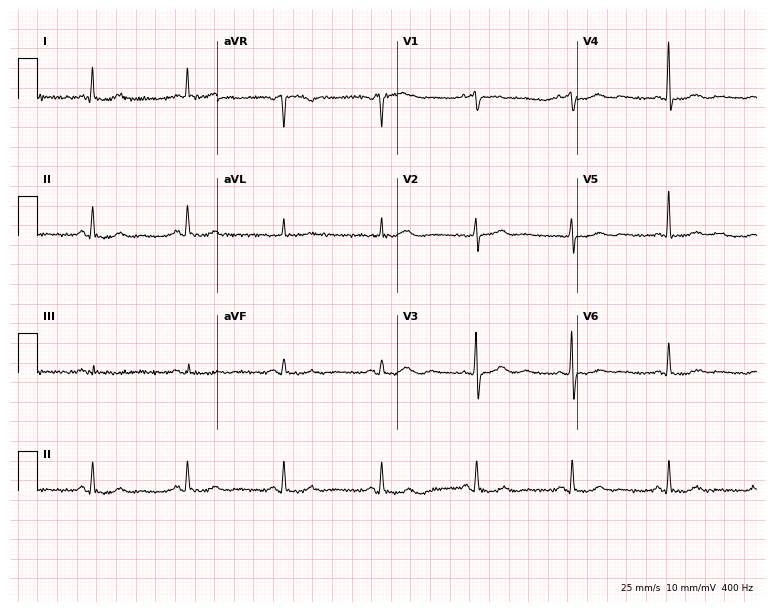
ECG — a 75-year-old female patient. Screened for six findings — first-degree AV block, right bundle branch block, left bundle branch block, sinus bradycardia, atrial fibrillation, sinus tachycardia — none is recorded. Findings outside these six are not listed.